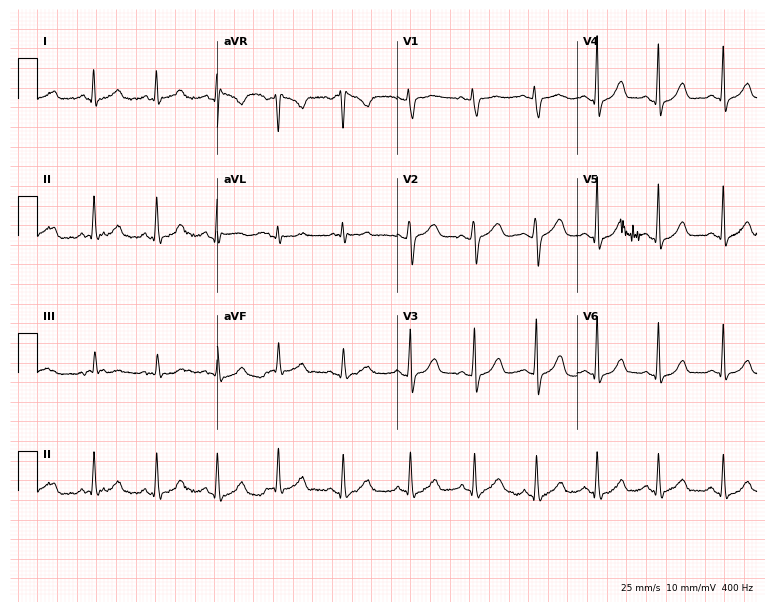
12-lead ECG (7.3-second recording at 400 Hz) from a woman, 35 years old. Screened for six findings — first-degree AV block, right bundle branch block, left bundle branch block, sinus bradycardia, atrial fibrillation, sinus tachycardia — none is recorded.